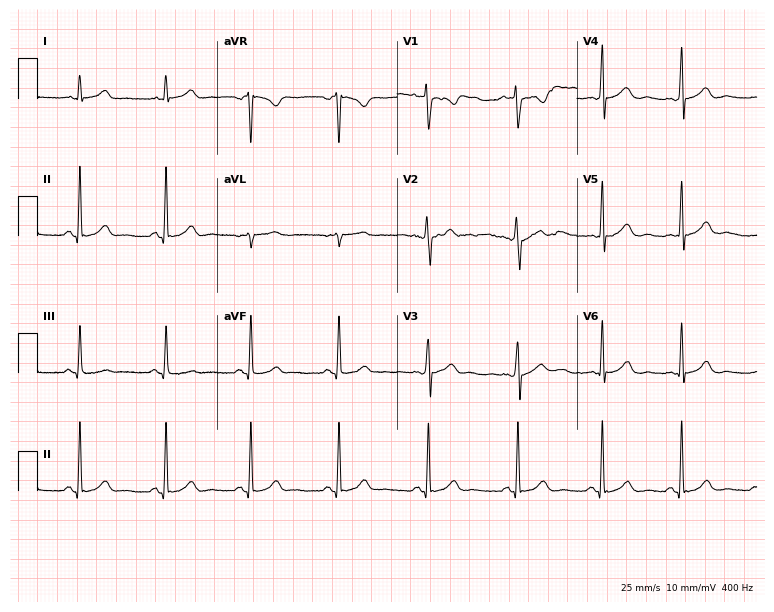
12-lead ECG (7.3-second recording at 400 Hz) from a woman, 29 years old. Screened for six findings — first-degree AV block, right bundle branch block, left bundle branch block, sinus bradycardia, atrial fibrillation, sinus tachycardia — none is recorded. Only these six findings were labelled.